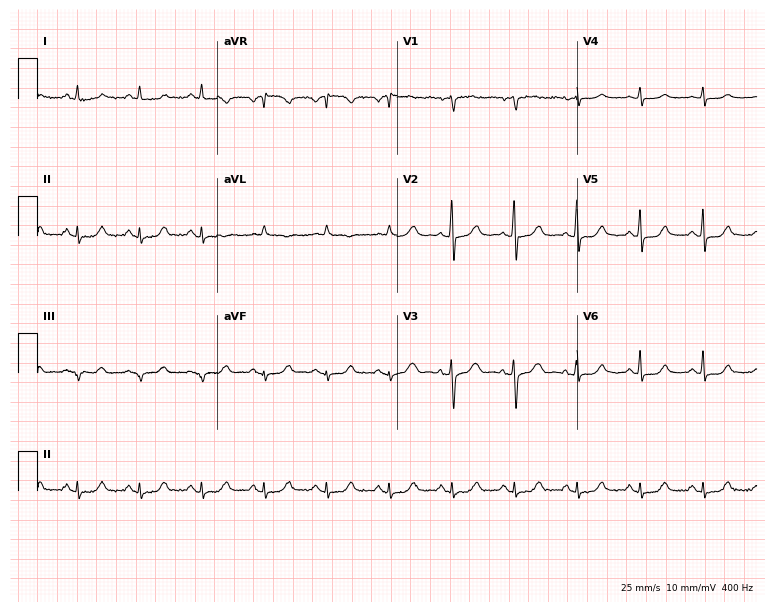
Resting 12-lead electrocardiogram. Patient: a 66-year-old woman. Read as a normal ECG.